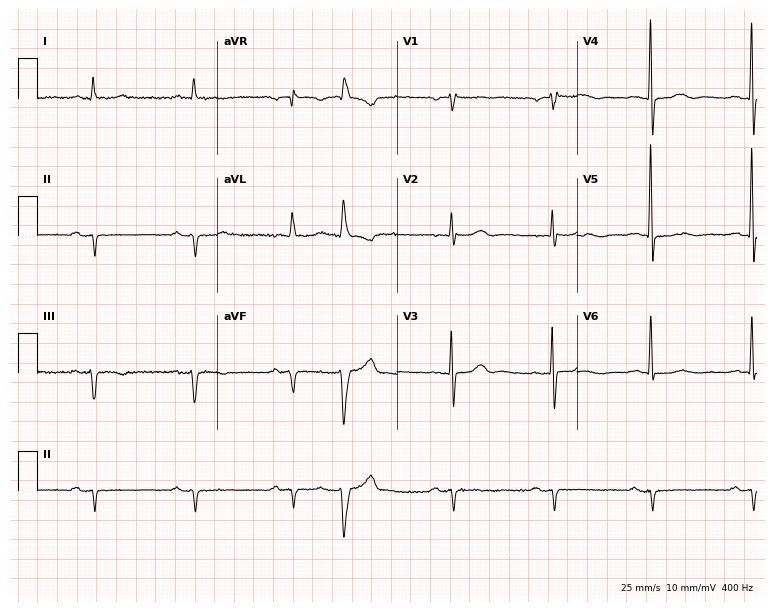
12-lead ECG from an 83-year-old male patient (7.3-second recording at 400 Hz). No first-degree AV block, right bundle branch block, left bundle branch block, sinus bradycardia, atrial fibrillation or sinus tachycardia recorded for this tracing. Findings outside these six are not listed.